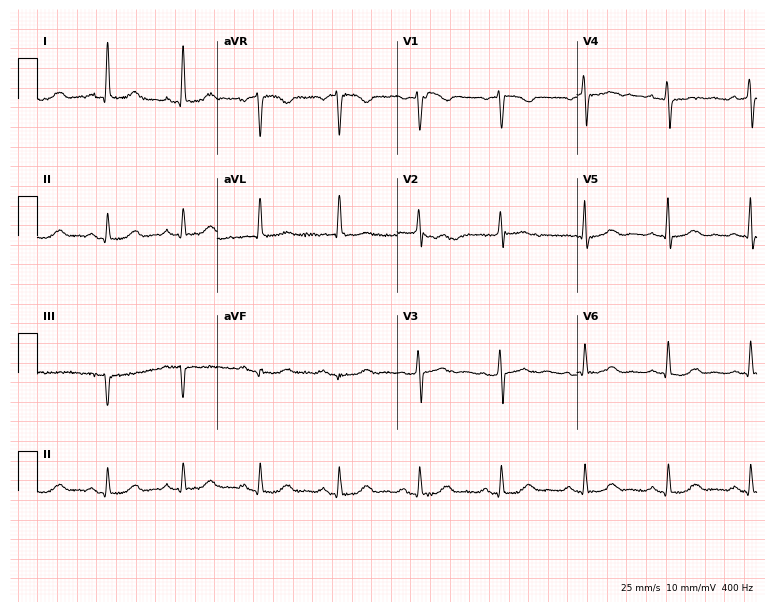
Standard 12-lead ECG recorded from a 63-year-old female patient (7.3-second recording at 400 Hz). Read as a normal ECG.